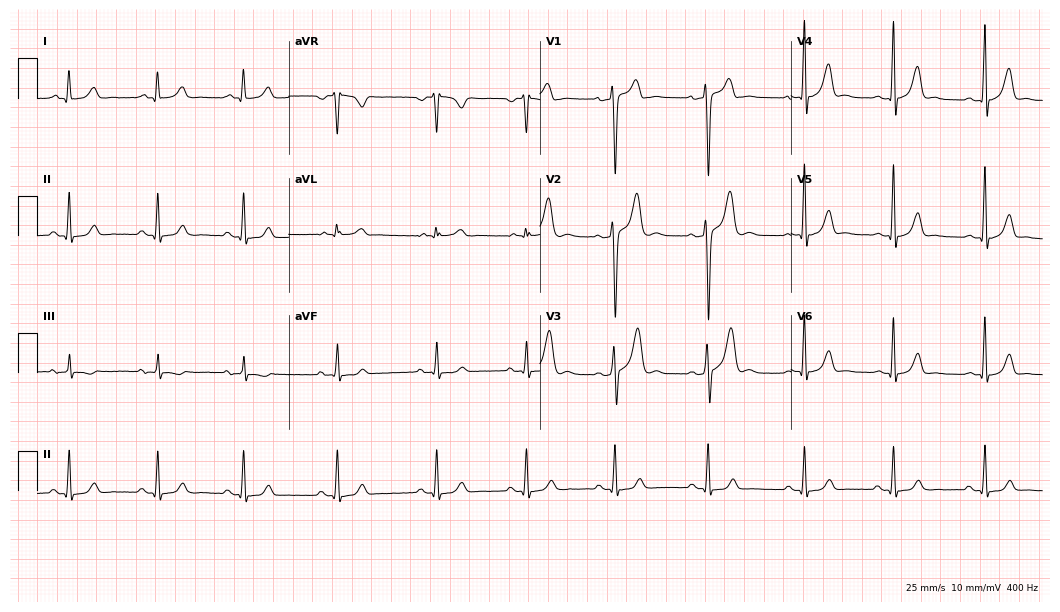
Electrocardiogram, a man, 26 years old. Of the six screened findings (first-degree AV block, right bundle branch block (RBBB), left bundle branch block (LBBB), sinus bradycardia, atrial fibrillation (AF), sinus tachycardia), none is recorded.